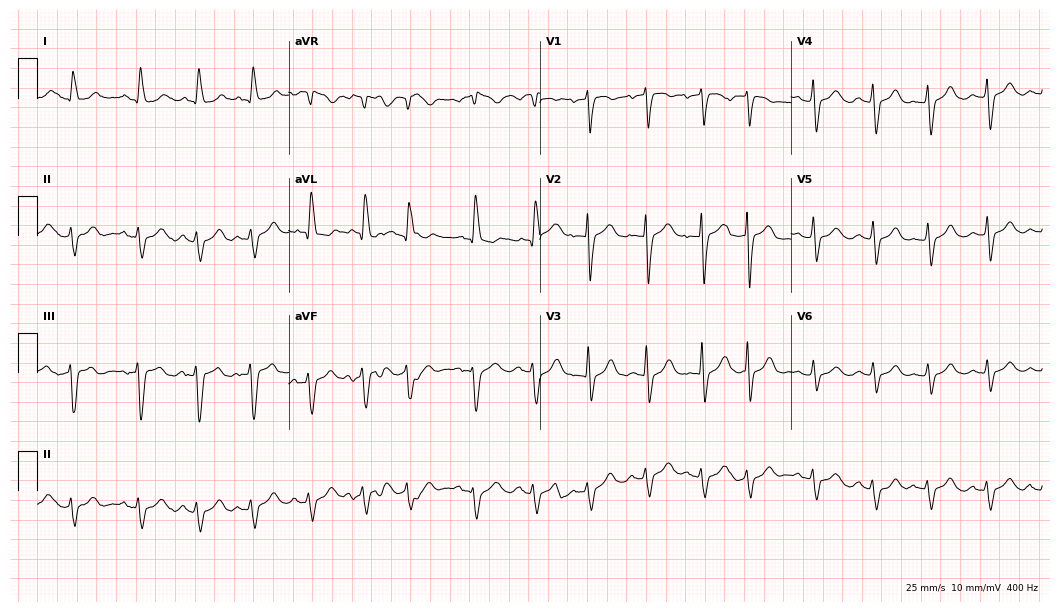
12-lead ECG (10.2-second recording at 400 Hz) from an 80-year-old female patient. Screened for six findings — first-degree AV block, right bundle branch block (RBBB), left bundle branch block (LBBB), sinus bradycardia, atrial fibrillation (AF), sinus tachycardia — none is recorded.